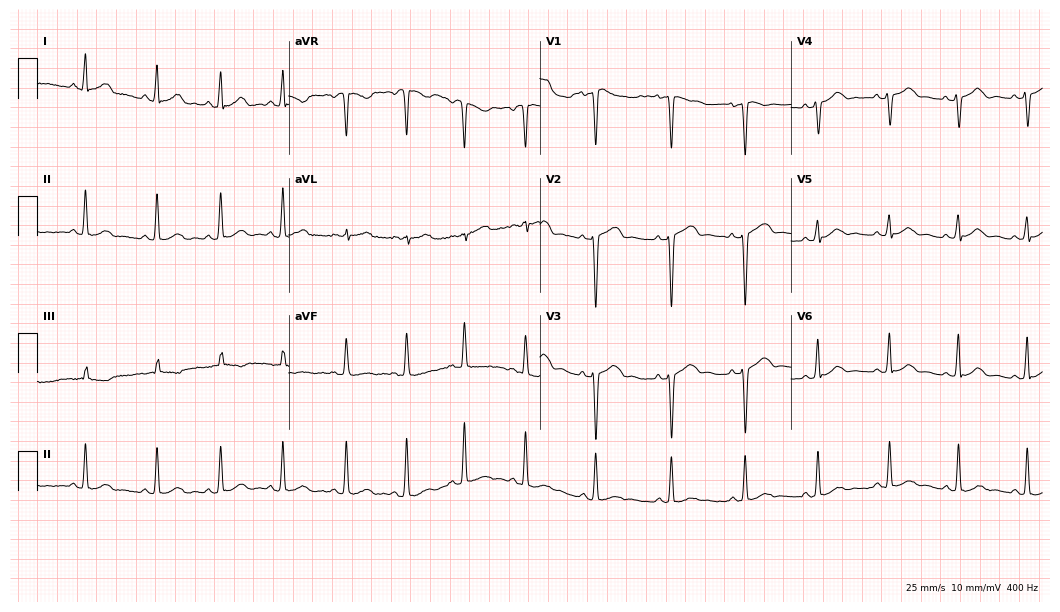
ECG (10.2-second recording at 400 Hz) — a female, 30 years old. Labelled as a normal ECG.